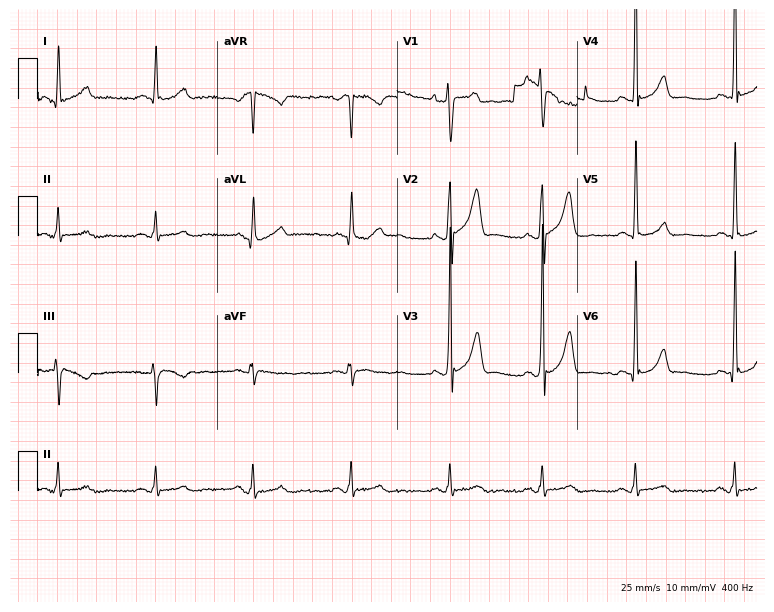
12-lead ECG from a man, 52 years old (7.3-second recording at 400 Hz). No first-degree AV block, right bundle branch block, left bundle branch block, sinus bradycardia, atrial fibrillation or sinus tachycardia recorded for this tracing.